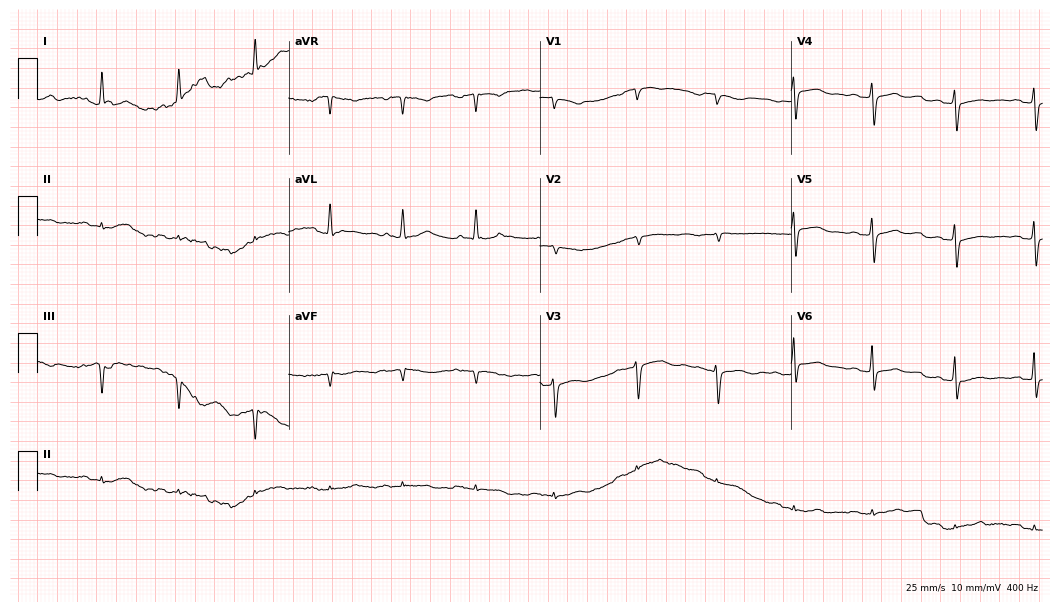
ECG — a 72-year-old male patient. Screened for six findings — first-degree AV block, right bundle branch block (RBBB), left bundle branch block (LBBB), sinus bradycardia, atrial fibrillation (AF), sinus tachycardia — none is recorded.